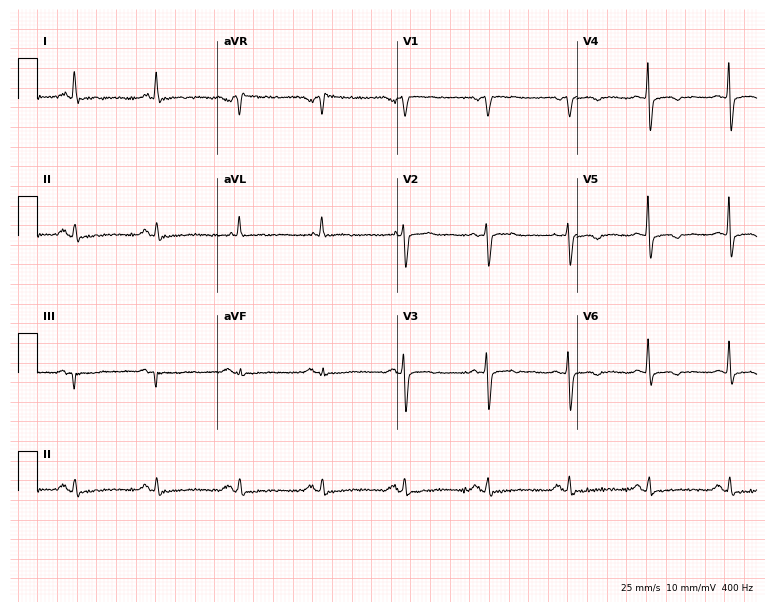
Electrocardiogram (7.3-second recording at 400 Hz), a 67-year-old female. Of the six screened findings (first-degree AV block, right bundle branch block (RBBB), left bundle branch block (LBBB), sinus bradycardia, atrial fibrillation (AF), sinus tachycardia), none is recorded.